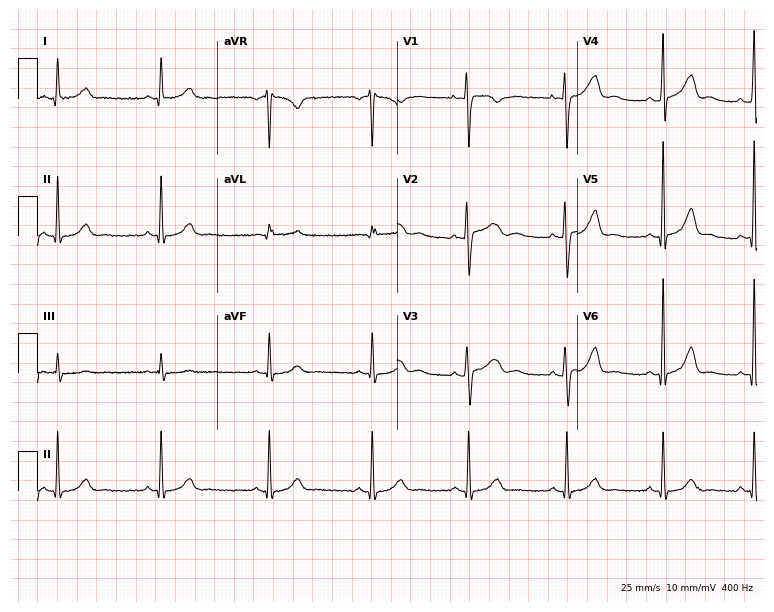
Standard 12-lead ECG recorded from a 34-year-old female patient. Read as a normal ECG.